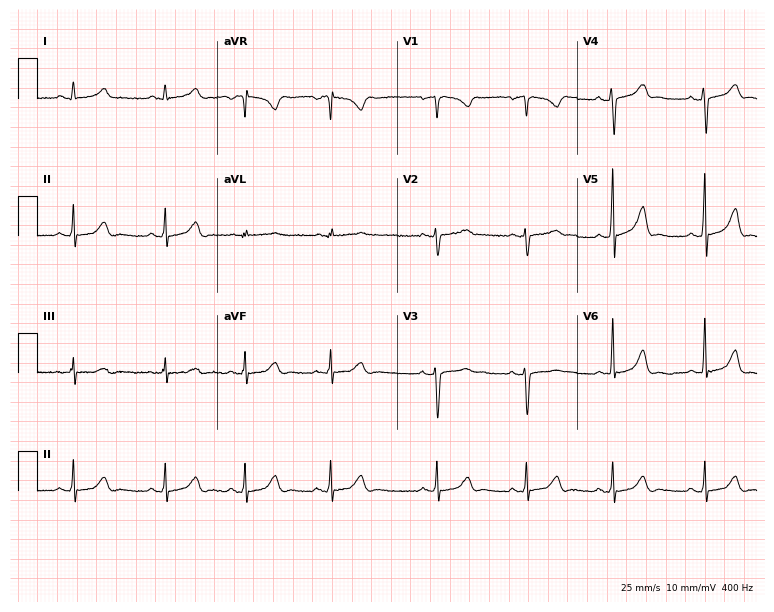
Standard 12-lead ECG recorded from a 33-year-old female patient. Read as a normal ECG.